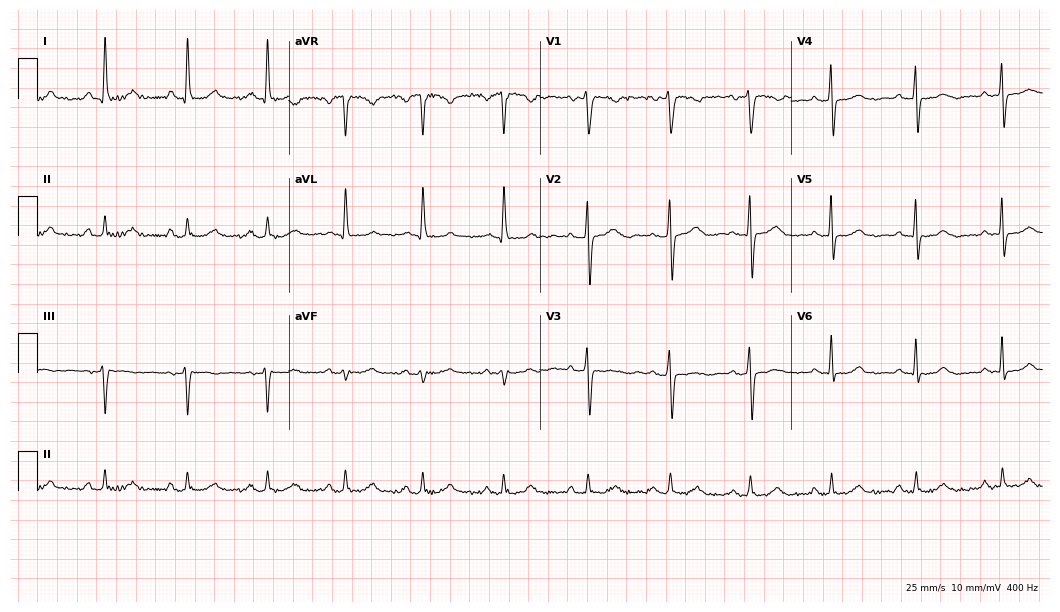
Resting 12-lead electrocardiogram (10.2-second recording at 400 Hz). Patient: a woman, 47 years old. Read as a normal ECG.